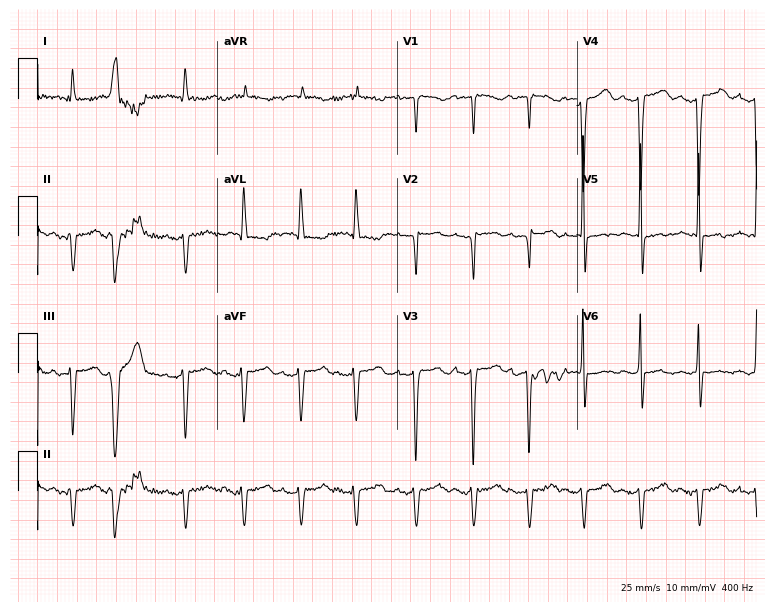
12-lead ECG from a female, 74 years old. No first-degree AV block, right bundle branch block, left bundle branch block, sinus bradycardia, atrial fibrillation or sinus tachycardia recorded for this tracing.